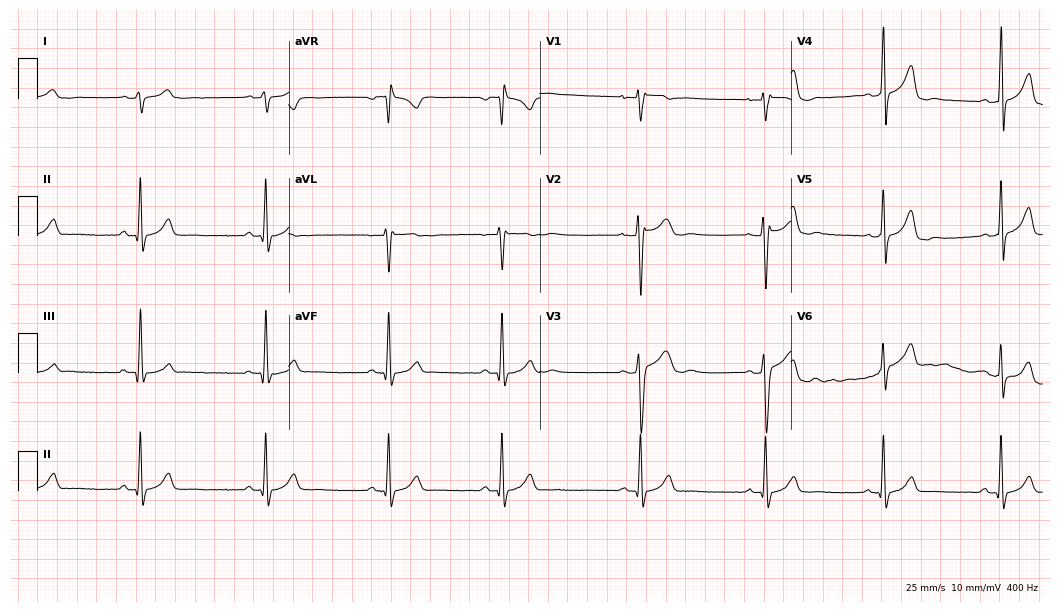
12-lead ECG (10.2-second recording at 400 Hz) from a 20-year-old male. Screened for six findings — first-degree AV block, right bundle branch block, left bundle branch block, sinus bradycardia, atrial fibrillation, sinus tachycardia — none is recorded. Only these six findings were labelled.